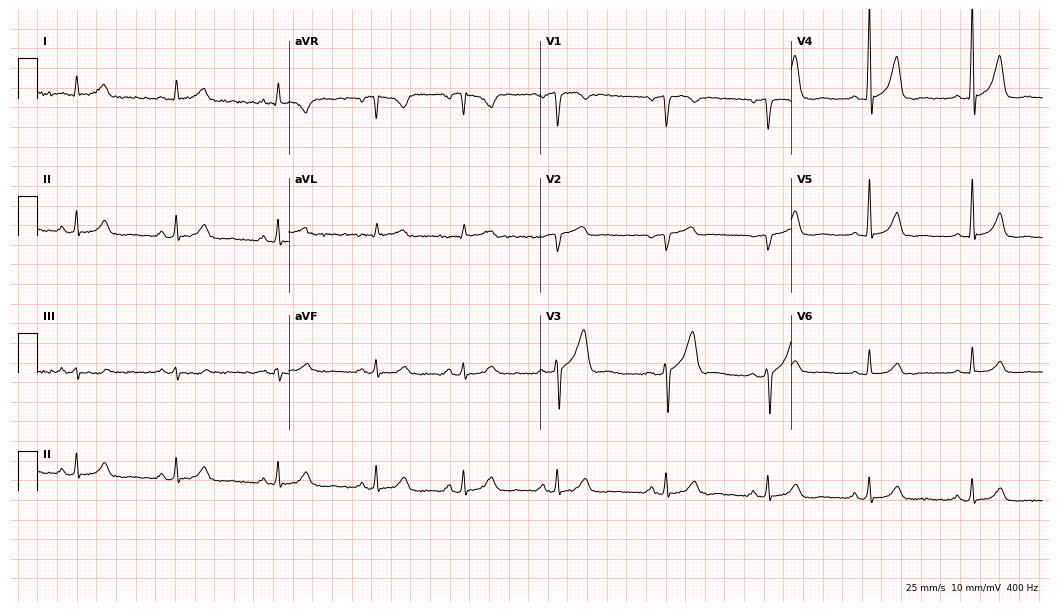
Resting 12-lead electrocardiogram. Patient: a male, 69 years old. Read as a normal ECG.